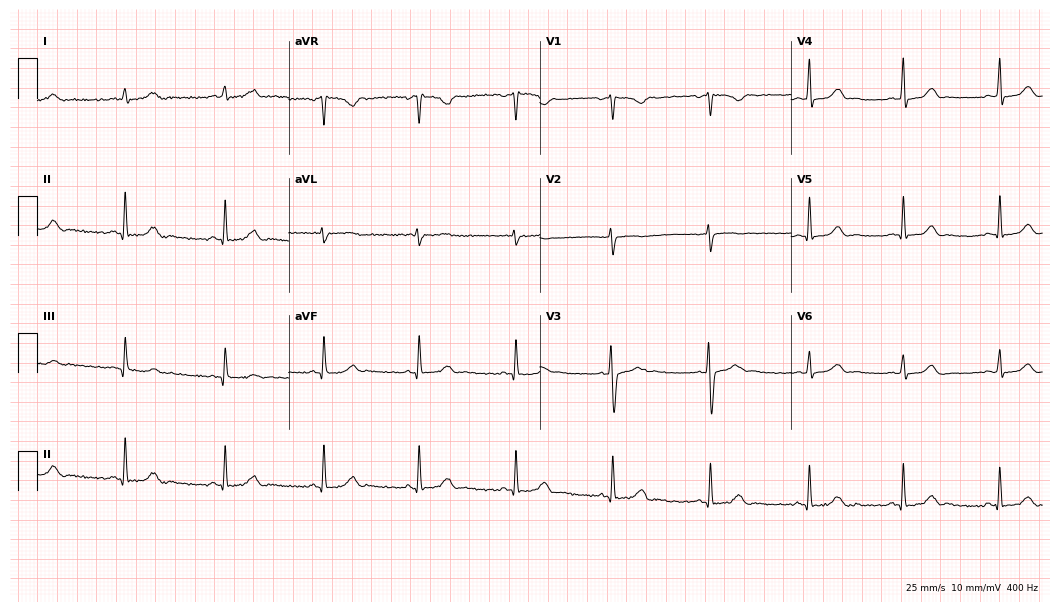
Electrocardiogram, a woman, 18 years old. Of the six screened findings (first-degree AV block, right bundle branch block, left bundle branch block, sinus bradycardia, atrial fibrillation, sinus tachycardia), none is recorded. Findings outside these six are not listed.